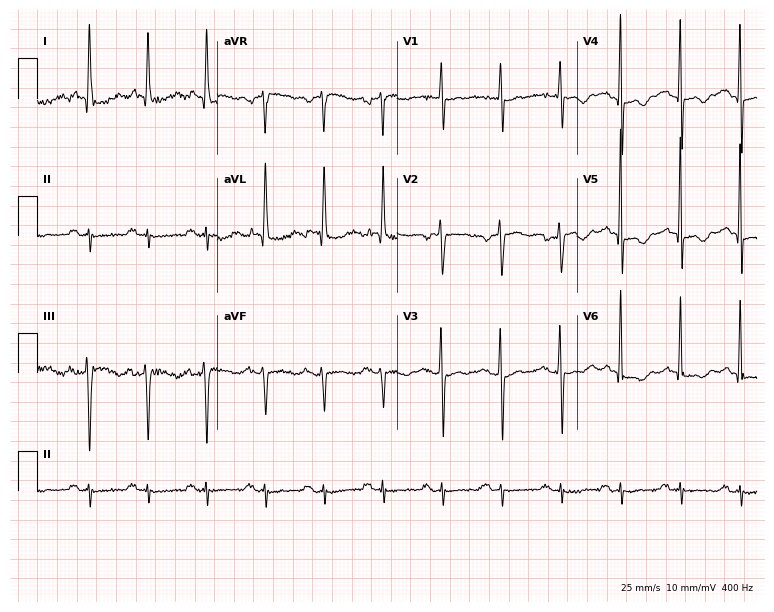
12-lead ECG (7.3-second recording at 400 Hz) from a woman, 69 years old. Screened for six findings — first-degree AV block, right bundle branch block (RBBB), left bundle branch block (LBBB), sinus bradycardia, atrial fibrillation (AF), sinus tachycardia — none is recorded.